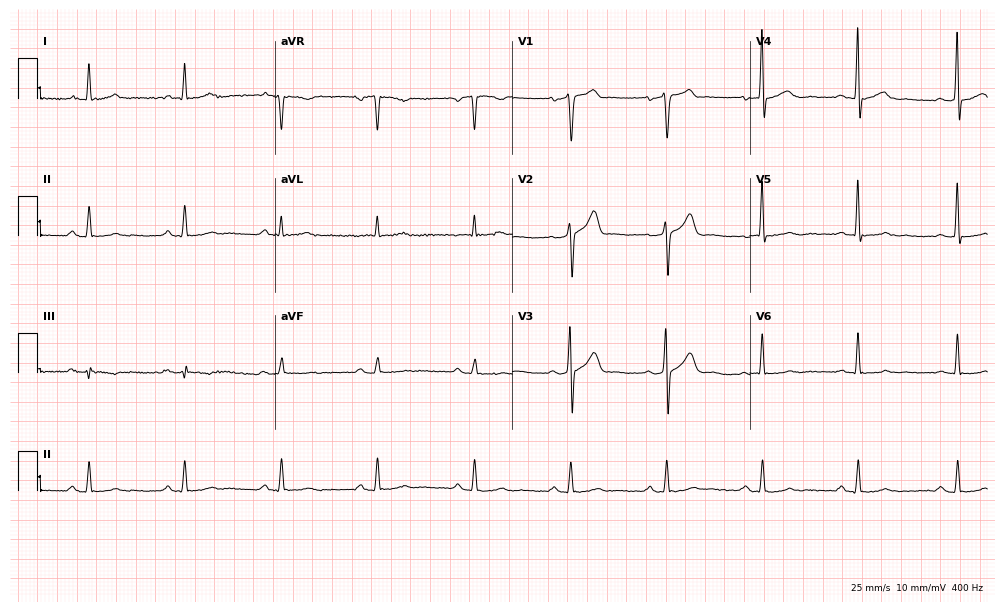
Resting 12-lead electrocardiogram. Patient: a 62-year-old male. Read as a normal ECG.